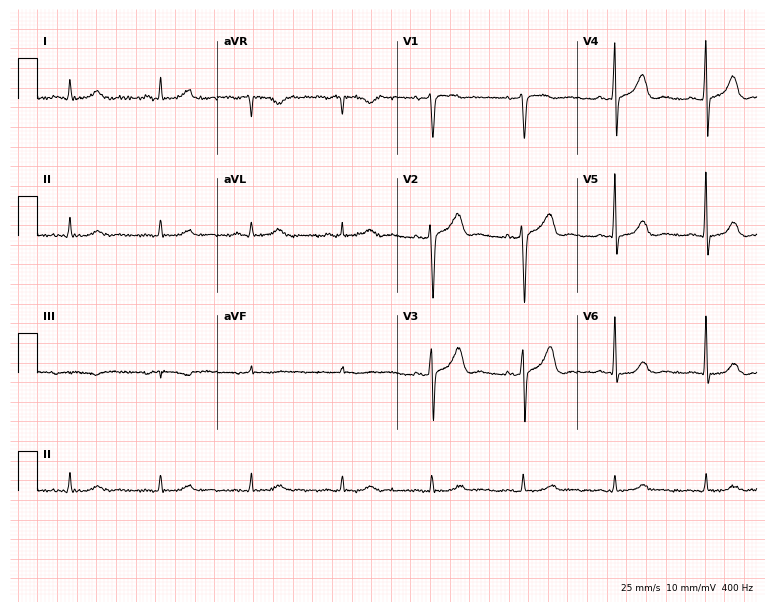
Standard 12-lead ECG recorded from a 54-year-old female (7.3-second recording at 400 Hz). Read as a normal ECG.